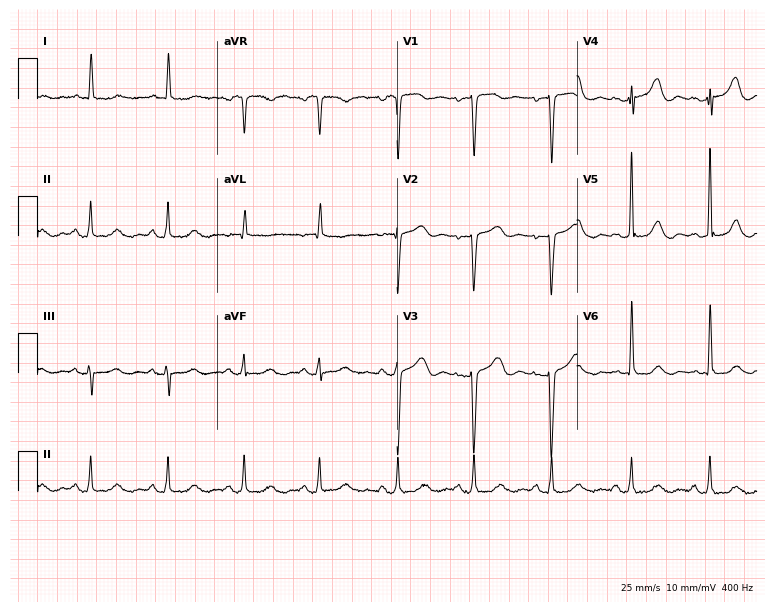
Standard 12-lead ECG recorded from a 53-year-old female patient (7.3-second recording at 400 Hz). None of these six findings is recorded: first-degree AV block, right bundle branch block, left bundle branch block, sinus bradycardia, atrial fibrillation, sinus tachycardia.